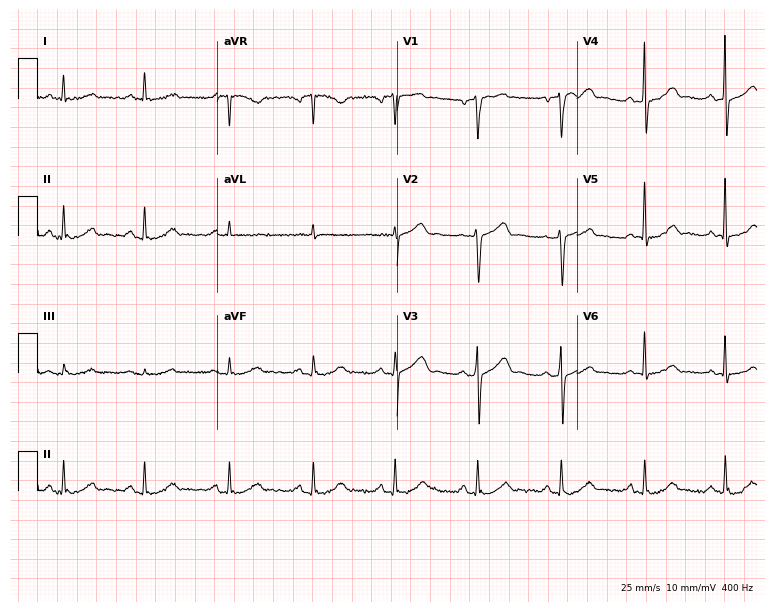
12-lead ECG from a 67-year-old man (7.3-second recording at 400 Hz). Recorded interpretation: within normal limits.